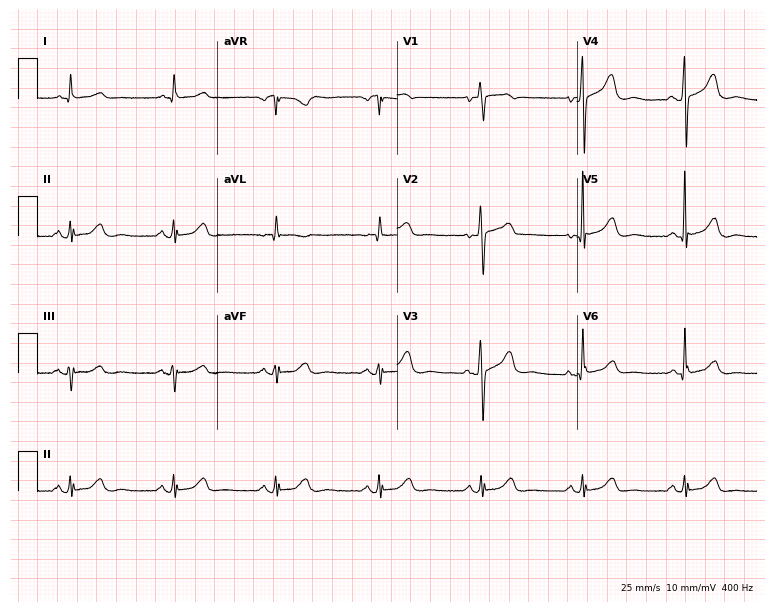
ECG (7.3-second recording at 400 Hz) — an 85-year-old woman. Labelled as a normal ECG.